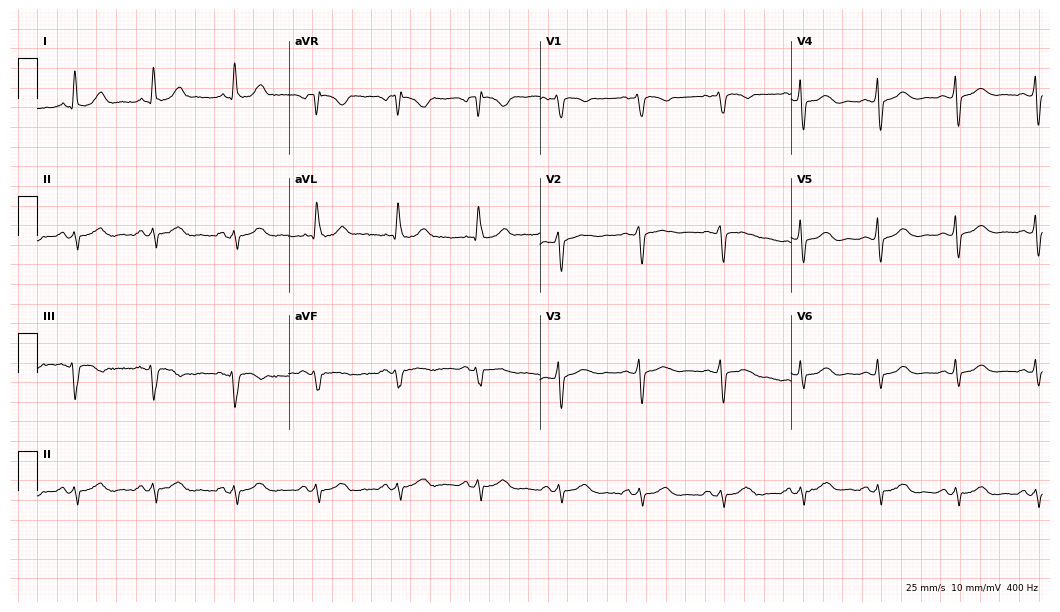
Standard 12-lead ECG recorded from a woman, 77 years old (10.2-second recording at 400 Hz). None of these six findings is recorded: first-degree AV block, right bundle branch block, left bundle branch block, sinus bradycardia, atrial fibrillation, sinus tachycardia. Findings outside these six are not listed.